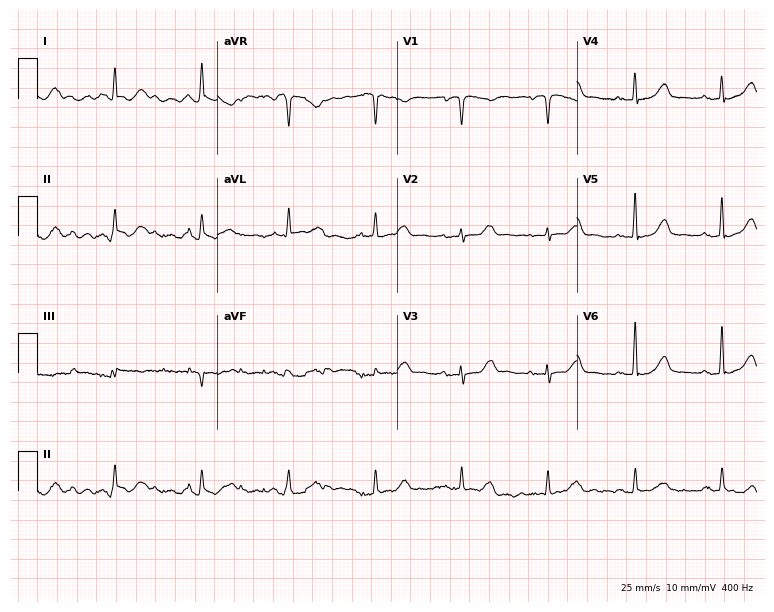
ECG — a female, 82 years old. Labelled as a normal ECG.